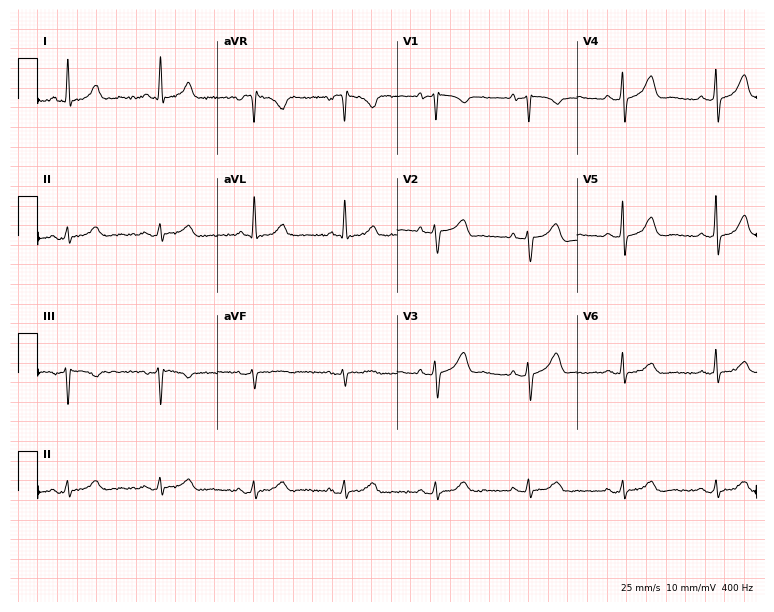
Electrocardiogram (7.3-second recording at 400 Hz), a female patient, 70 years old. Of the six screened findings (first-degree AV block, right bundle branch block, left bundle branch block, sinus bradycardia, atrial fibrillation, sinus tachycardia), none is recorded.